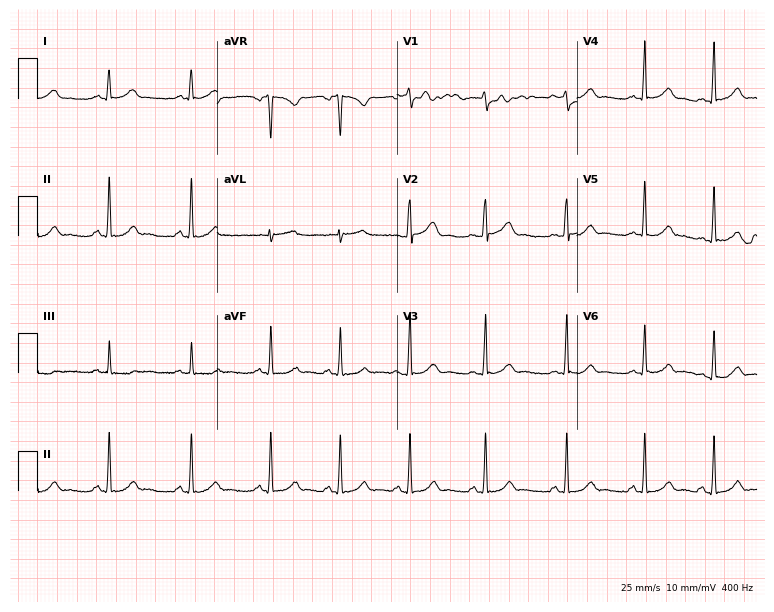
Electrocardiogram (7.3-second recording at 400 Hz), a 22-year-old female patient. Of the six screened findings (first-degree AV block, right bundle branch block, left bundle branch block, sinus bradycardia, atrial fibrillation, sinus tachycardia), none is recorded. Other findings, if any, are not listed.